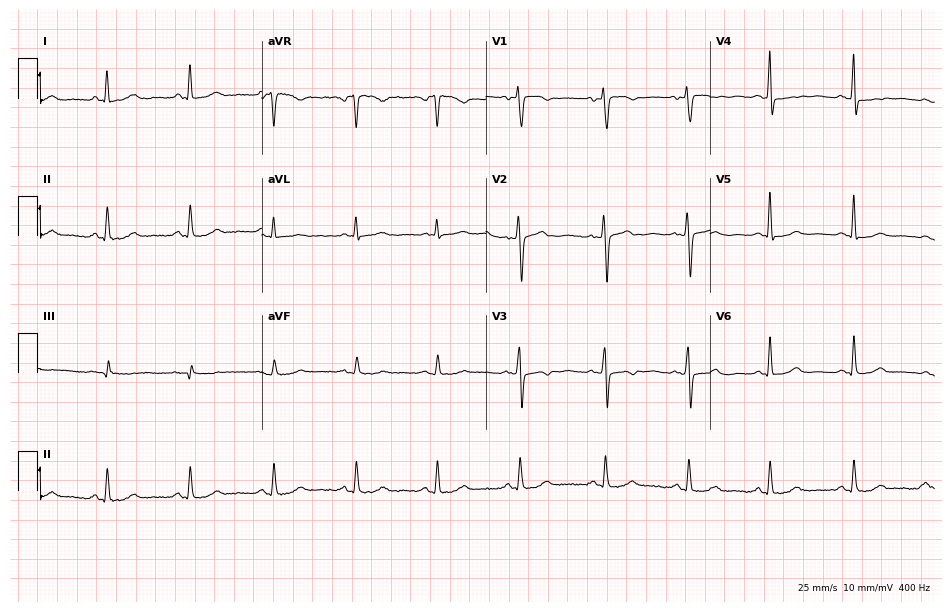
12-lead ECG from a 55-year-old woman (9.1-second recording at 400 Hz). No first-degree AV block, right bundle branch block, left bundle branch block, sinus bradycardia, atrial fibrillation or sinus tachycardia recorded for this tracing.